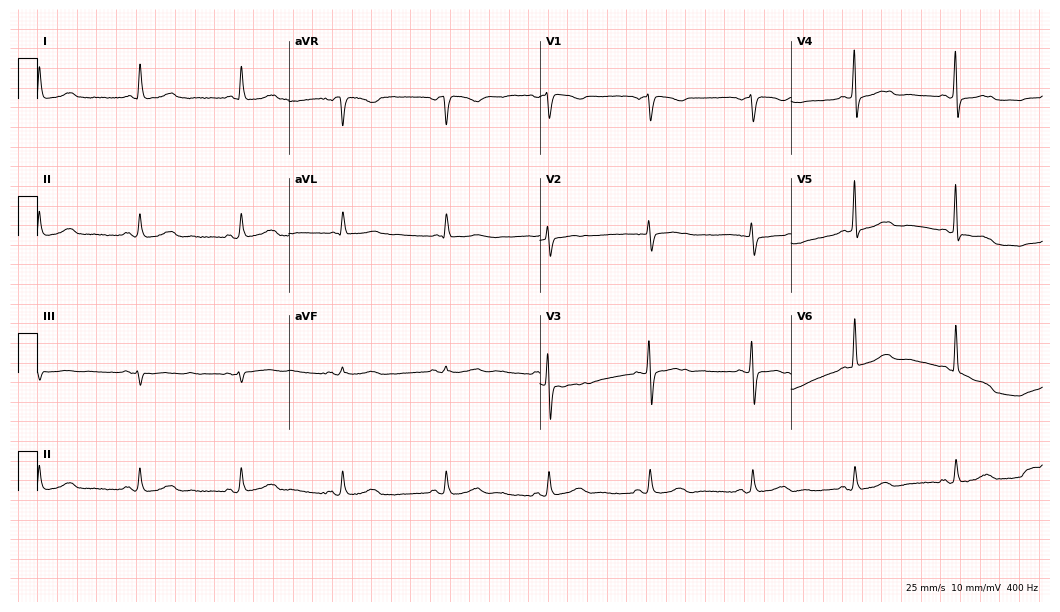
ECG (10.2-second recording at 400 Hz) — a female patient, 66 years old. Labelled as a normal ECG.